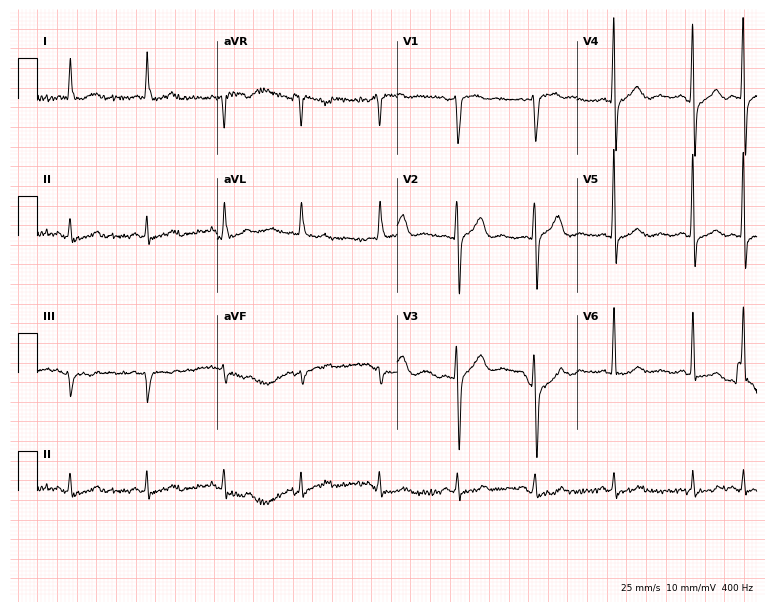
Standard 12-lead ECG recorded from an 80-year-old male. None of these six findings is recorded: first-degree AV block, right bundle branch block, left bundle branch block, sinus bradycardia, atrial fibrillation, sinus tachycardia.